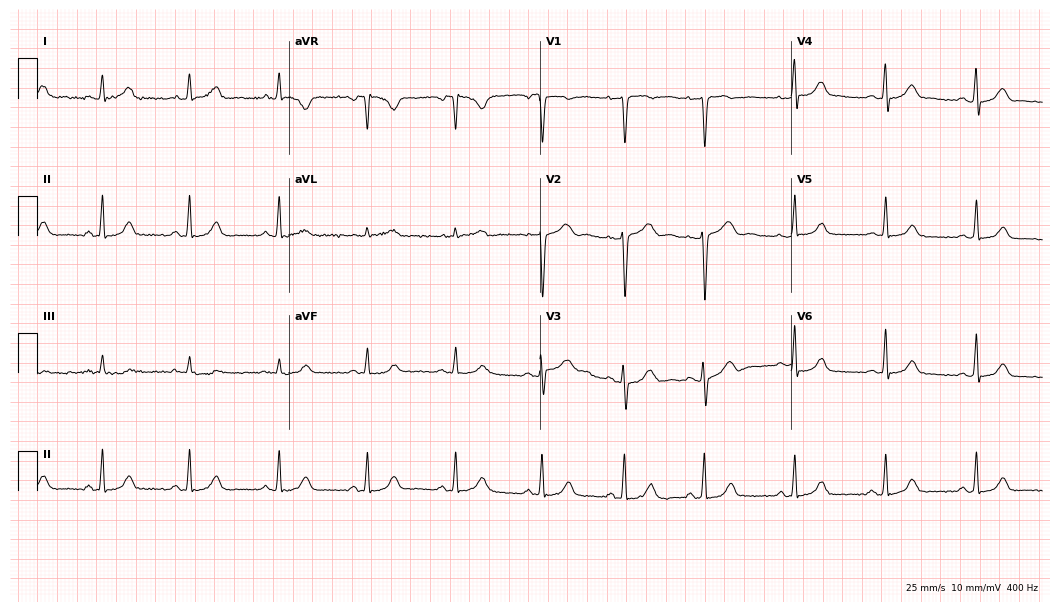
Electrocardiogram (10.2-second recording at 400 Hz), a 32-year-old male. Overall reading on record: normal ECG.